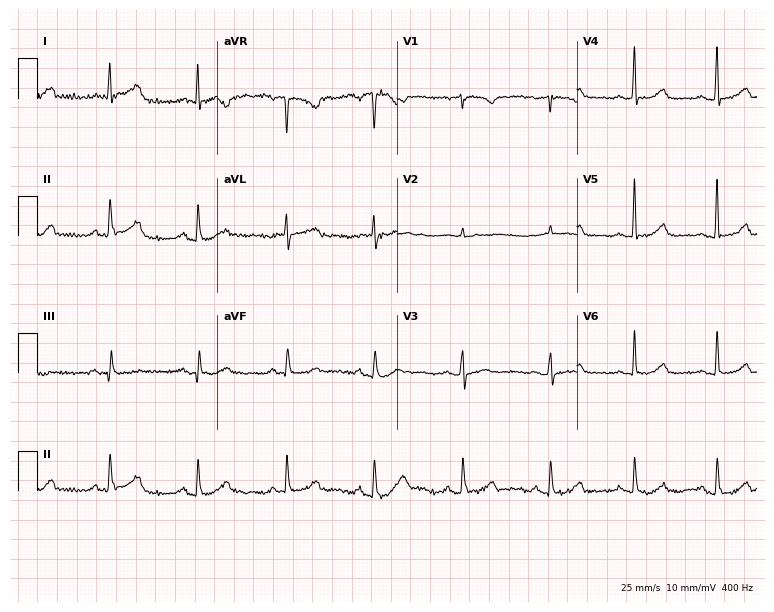
12-lead ECG (7.3-second recording at 400 Hz) from a 59-year-old female patient. Labelled as a normal ECG.